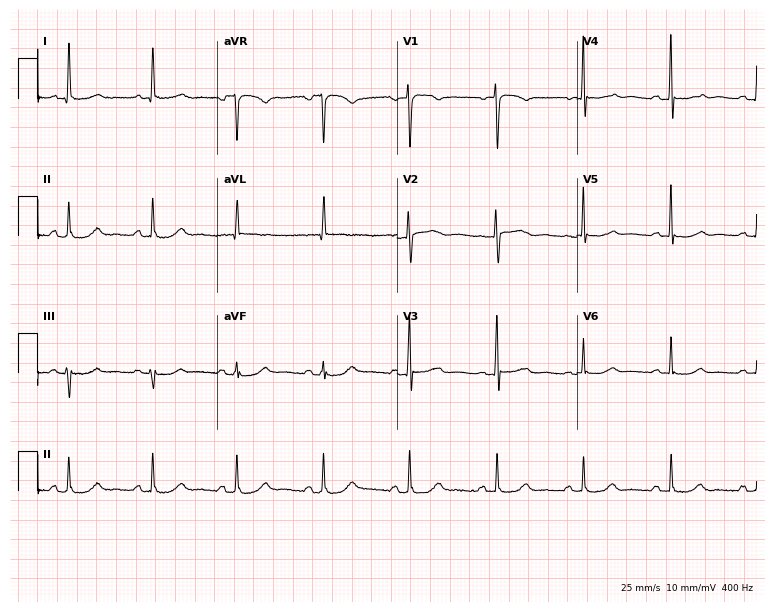
12-lead ECG from a female, 78 years old. No first-degree AV block, right bundle branch block, left bundle branch block, sinus bradycardia, atrial fibrillation or sinus tachycardia recorded for this tracing. Only these six findings were labelled.